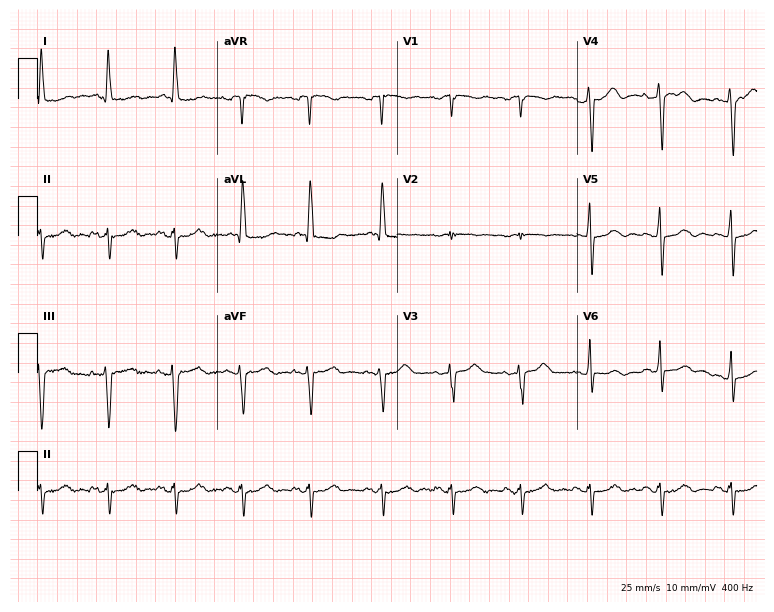
12-lead ECG from a 70-year-old female. No first-degree AV block, right bundle branch block, left bundle branch block, sinus bradycardia, atrial fibrillation or sinus tachycardia recorded for this tracing. Only these six findings were labelled.